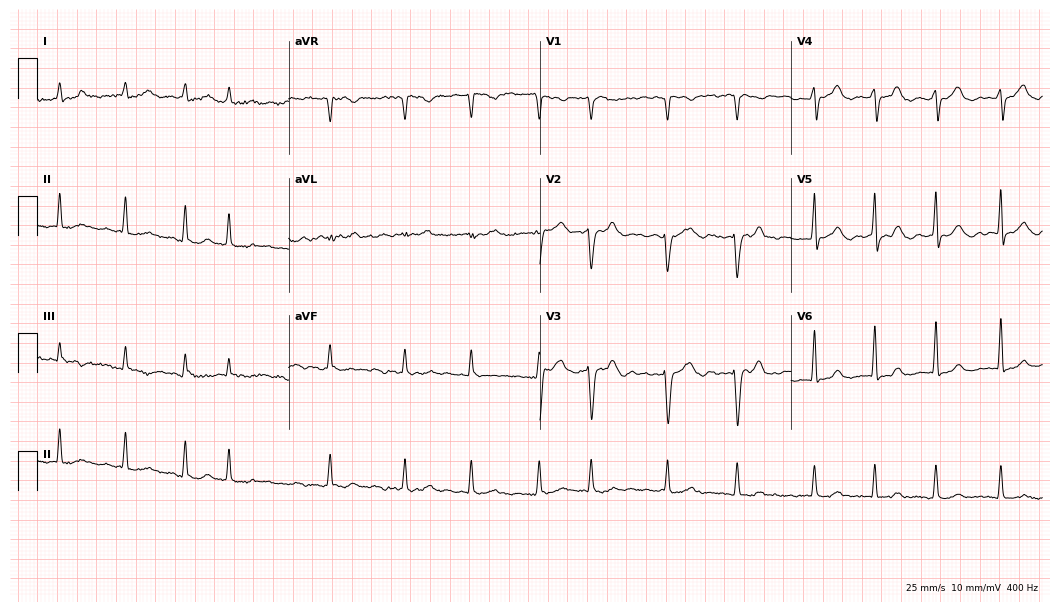
Resting 12-lead electrocardiogram. Patient: a female, 79 years old. The tracing shows atrial fibrillation (AF).